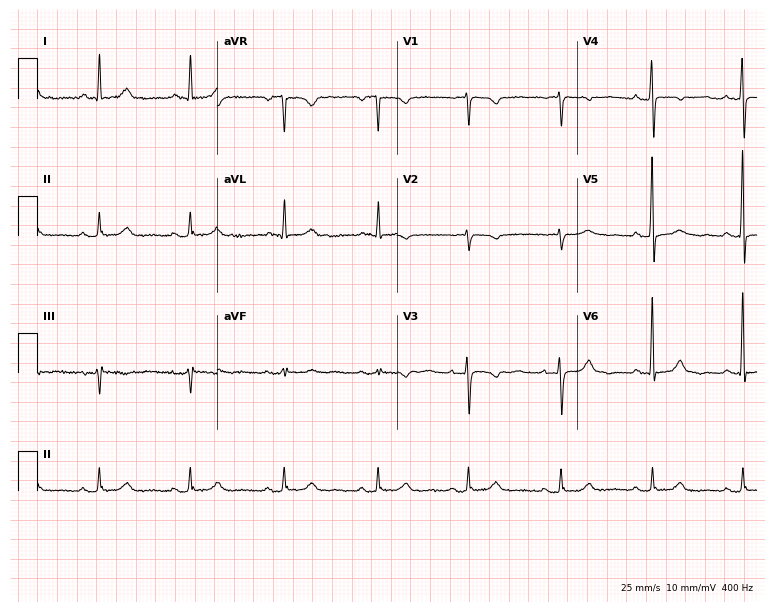
Standard 12-lead ECG recorded from a female patient, 58 years old. None of these six findings is recorded: first-degree AV block, right bundle branch block, left bundle branch block, sinus bradycardia, atrial fibrillation, sinus tachycardia.